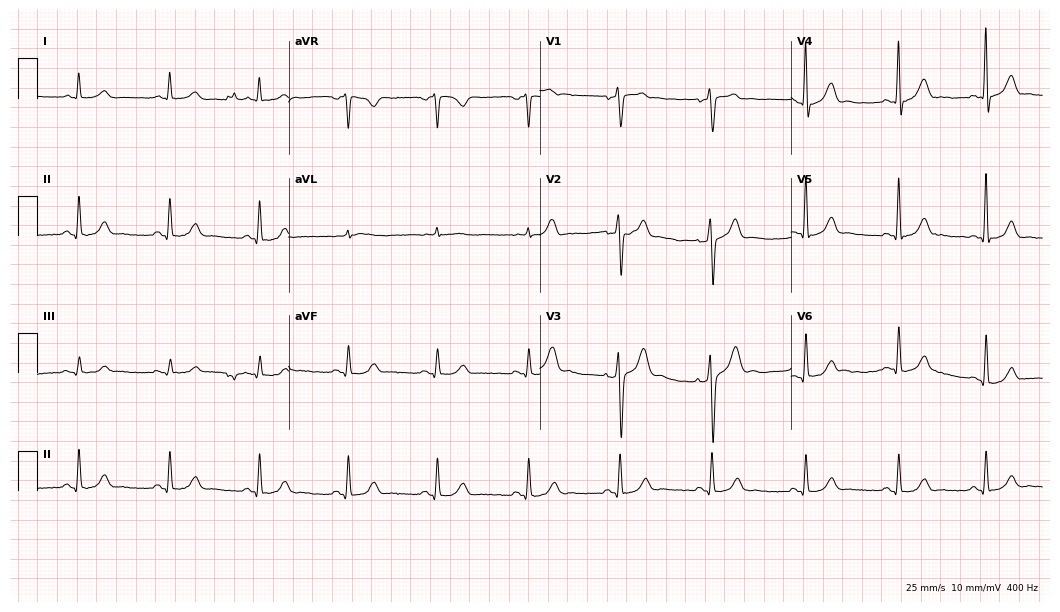
12-lead ECG from a male, 67 years old. Labelled as a normal ECG.